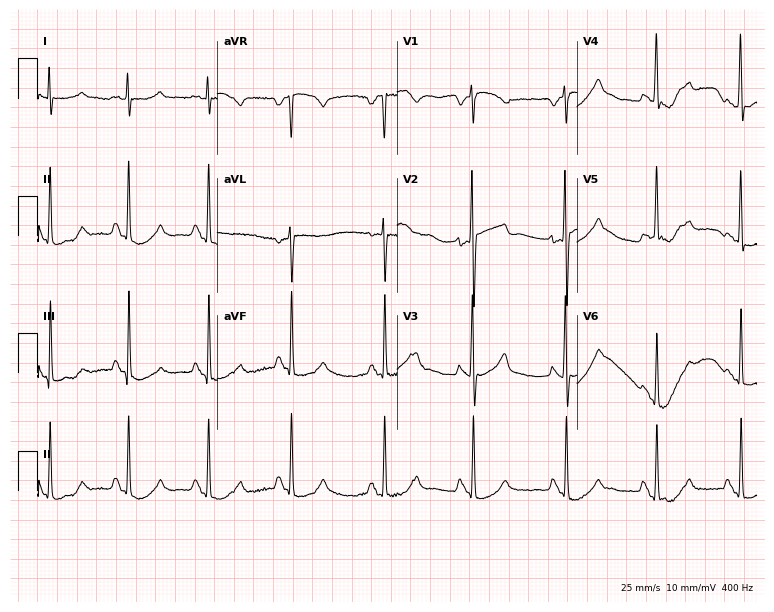
Standard 12-lead ECG recorded from a 22-year-old woman (7.3-second recording at 400 Hz). None of these six findings is recorded: first-degree AV block, right bundle branch block, left bundle branch block, sinus bradycardia, atrial fibrillation, sinus tachycardia. Findings outside these six are not listed.